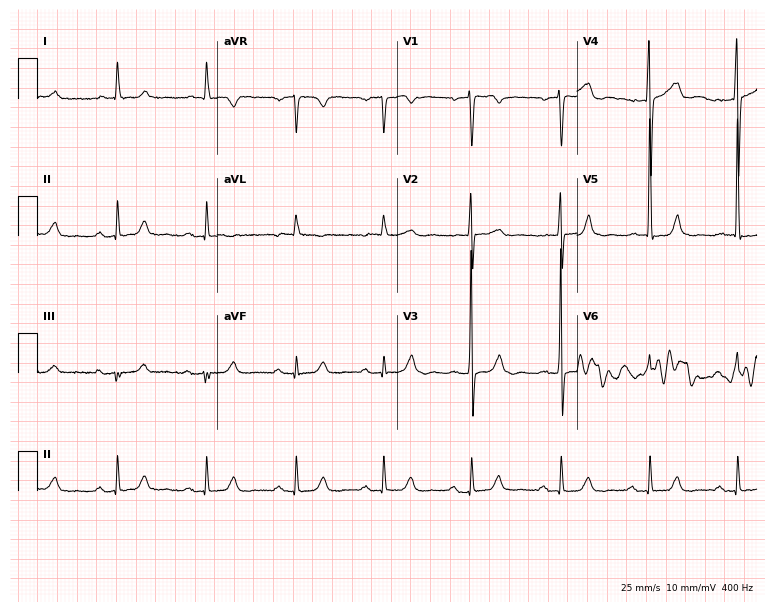
Resting 12-lead electrocardiogram. Patient: a 65-year-old female. The tracing shows first-degree AV block.